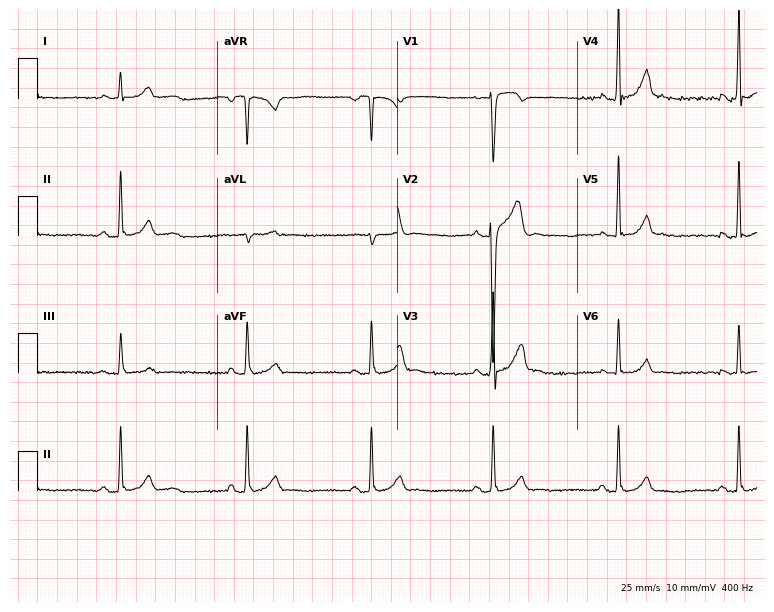
Standard 12-lead ECG recorded from a 31-year-old male. The tracing shows sinus bradycardia (a sinus rate of 50 beats per minute or less).